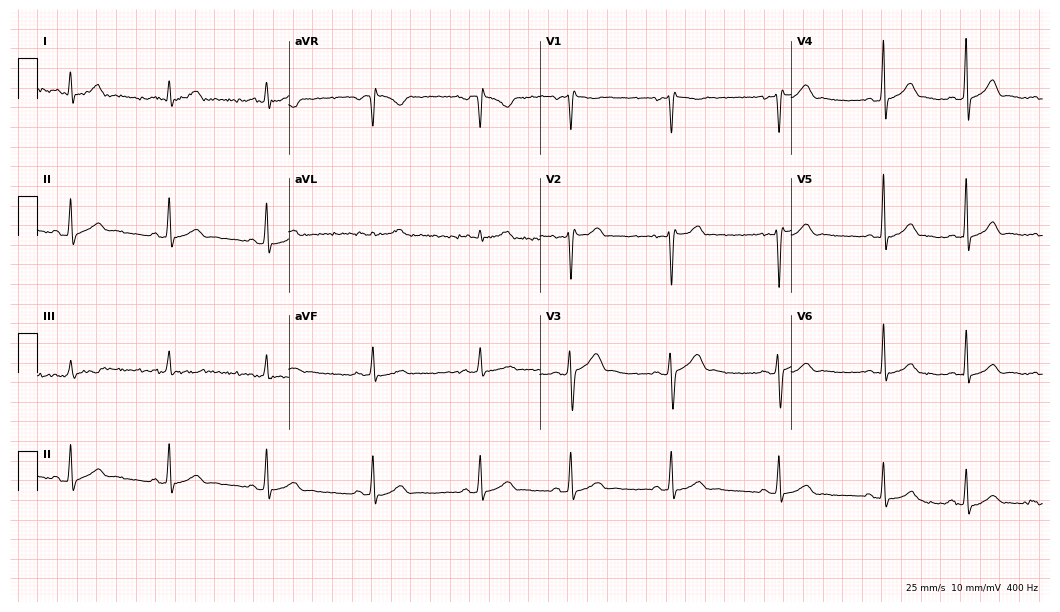
ECG — a 21-year-old male. Screened for six findings — first-degree AV block, right bundle branch block, left bundle branch block, sinus bradycardia, atrial fibrillation, sinus tachycardia — none is recorded. Findings outside these six are not listed.